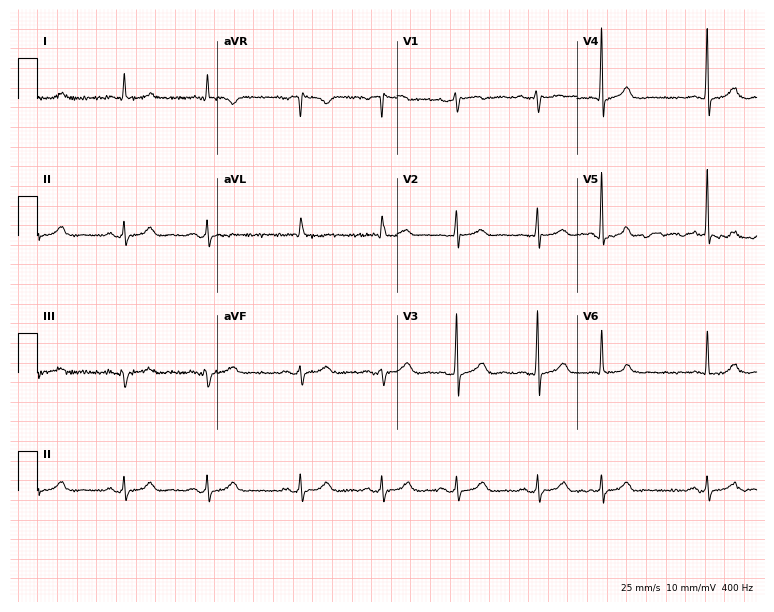
12-lead ECG (7.3-second recording at 400 Hz) from an 80-year-old male patient. Labelled as a normal ECG.